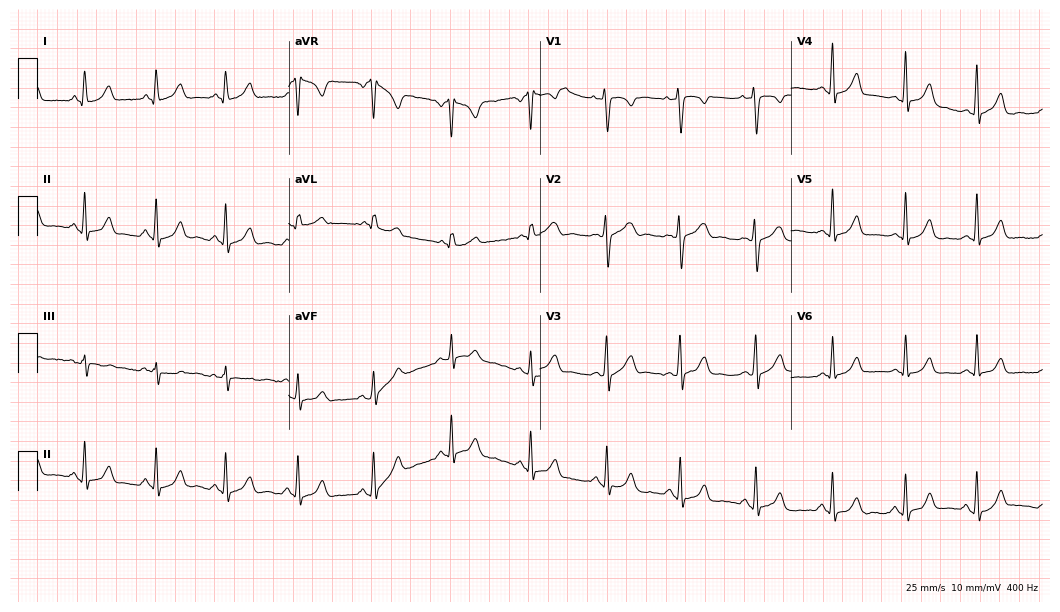
Electrocardiogram (10.2-second recording at 400 Hz), a 25-year-old woman. Overall reading on record: normal ECG.